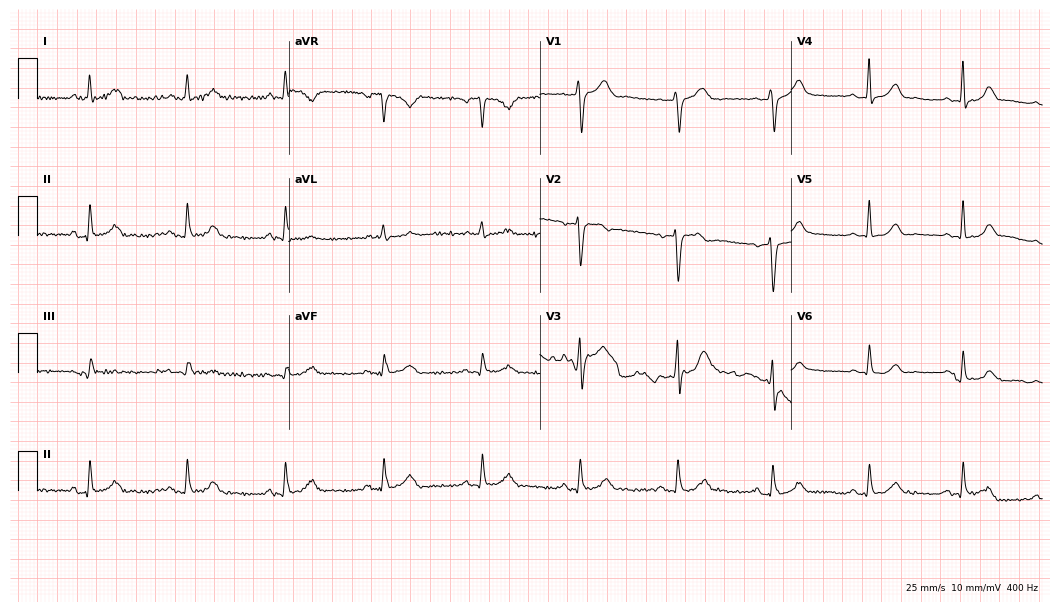
12-lead ECG (10.2-second recording at 400 Hz) from a male, 60 years old. Labelled as a normal ECG.